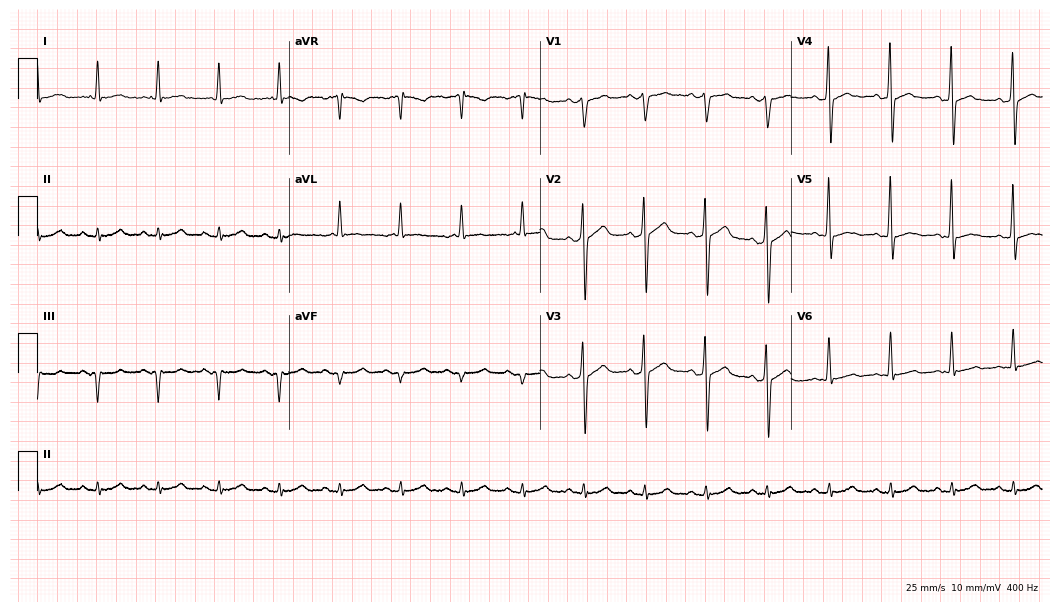
ECG — a 68-year-old man. Screened for six findings — first-degree AV block, right bundle branch block, left bundle branch block, sinus bradycardia, atrial fibrillation, sinus tachycardia — none is recorded. Findings outside these six are not listed.